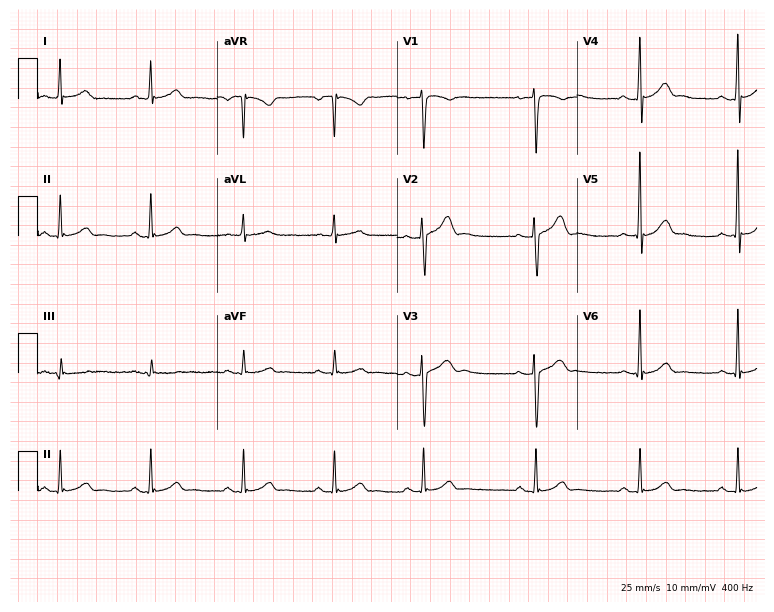
Resting 12-lead electrocardiogram (7.3-second recording at 400 Hz). Patient: a man, 32 years old. Read as a normal ECG.